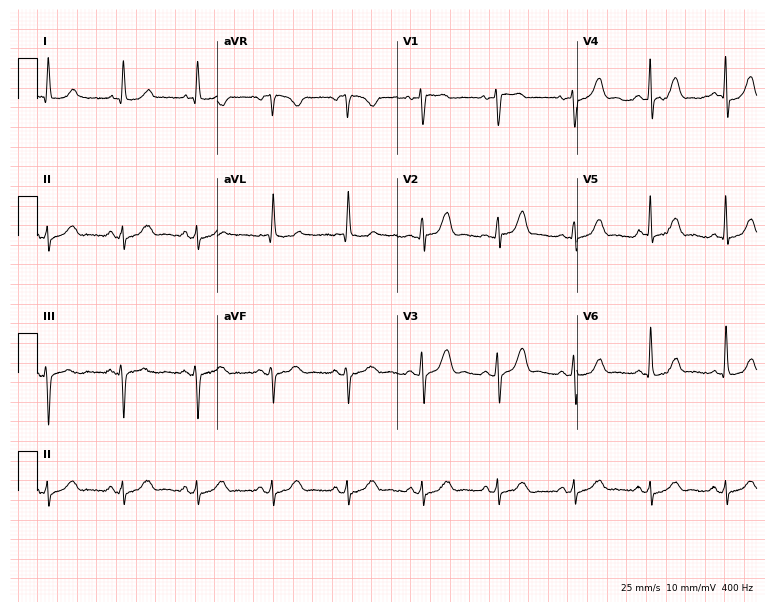
Standard 12-lead ECG recorded from a woman, 84 years old (7.3-second recording at 400 Hz). Read as a normal ECG.